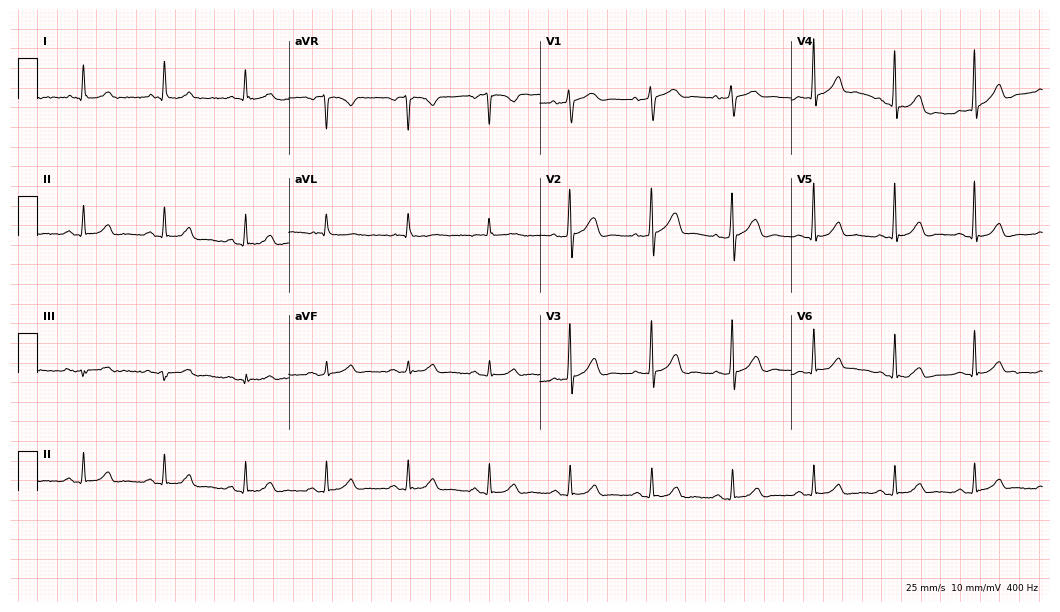
12-lead ECG (10.2-second recording at 400 Hz) from a 65-year-old female patient. Labelled as a normal ECG.